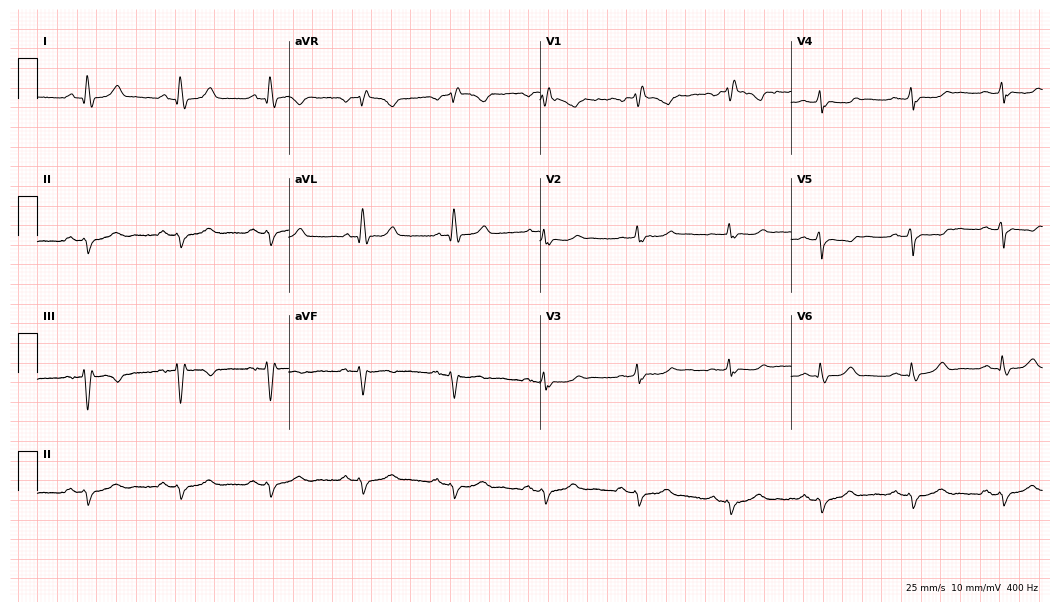
12-lead ECG from a 63-year-old female patient. No first-degree AV block, right bundle branch block, left bundle branch block, sinus bradycardia, atrial fibrillation or sinus tachycardia recorded for this tracing. Only these six findings were labelled.